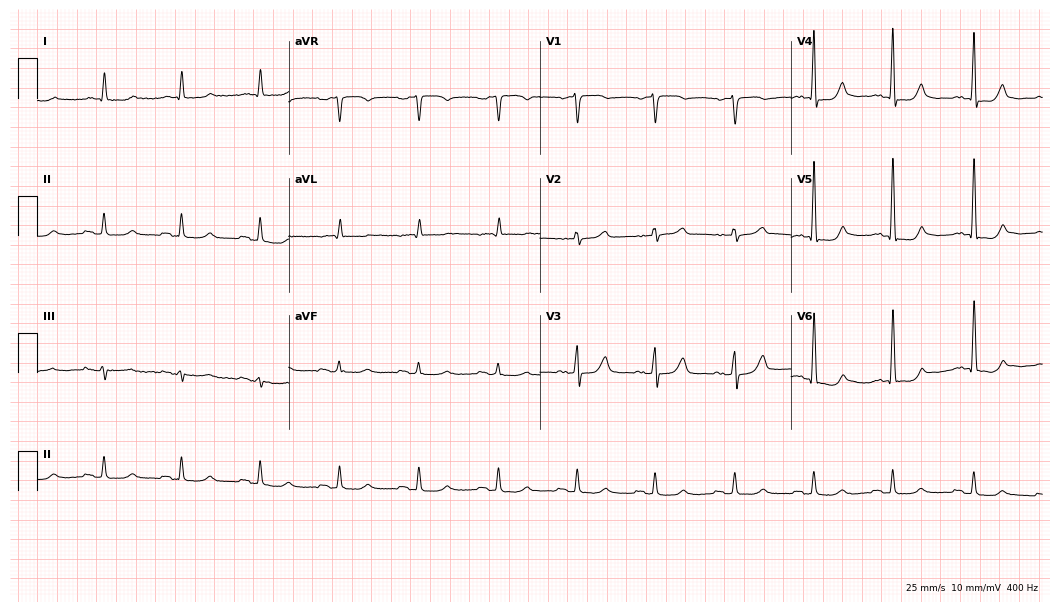
ECG (10.2-second recording at 400 Hz) — a woman, 75 years old. Screened for six findings — first-degree AV block, right bundle branch block, left bundle branch block, sinus bradycardia, atrial fibrillation, sinus tachycardia — none is recorded.